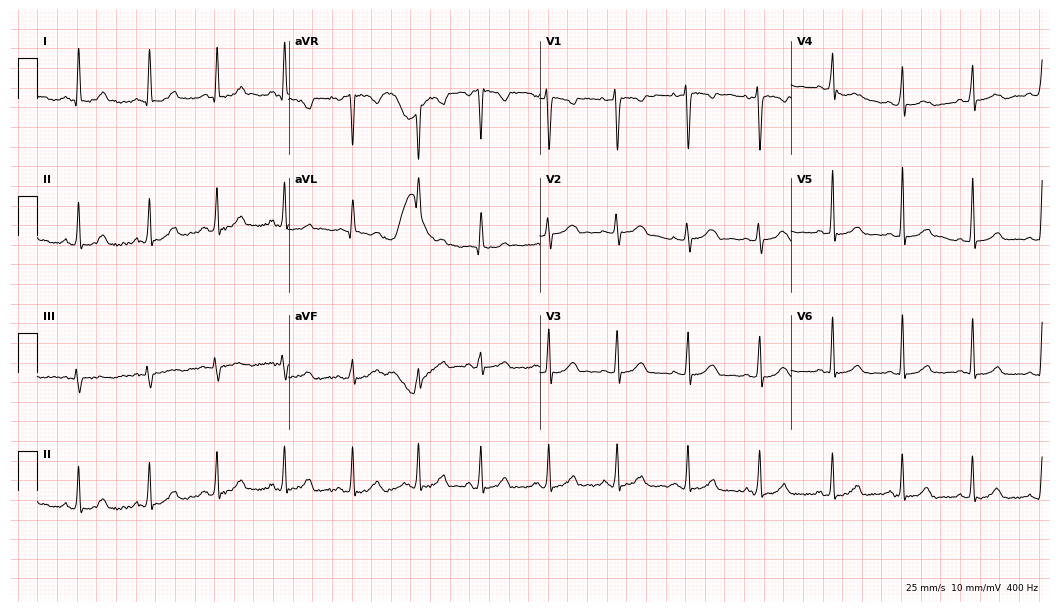
ECG (10.2-second recording at 400 Hz) — a 40-year-old woman. Labelled as a normal ECG.